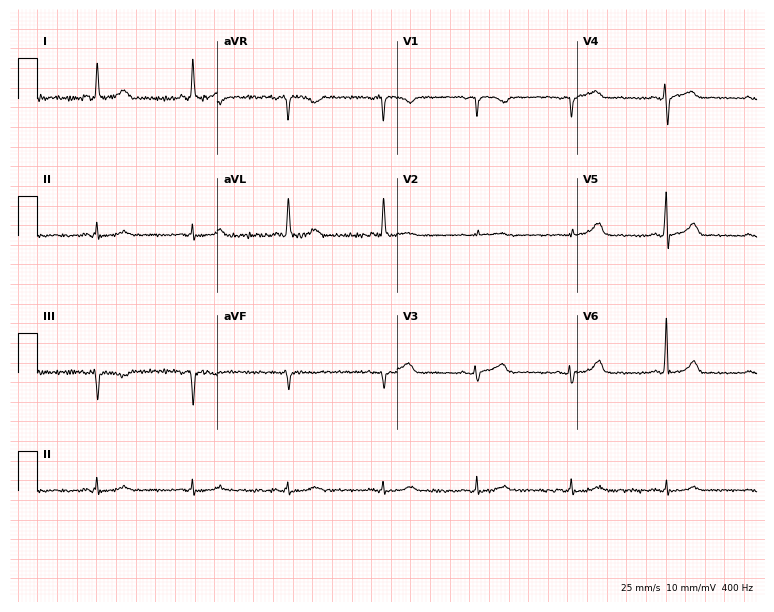
12-lead ECG from a 65-year-old female patient. No first-degree AV block, right bundle branch block, left bundle branch block, sinus bradycardia, atrial fibrillation or sinus tachycardia recorded for this tracing.